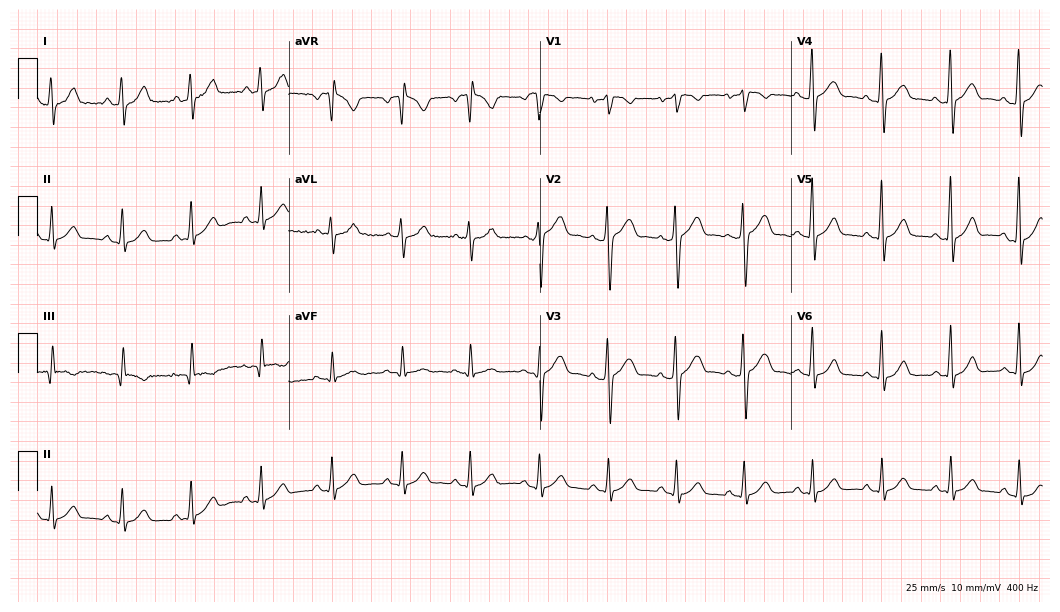
12-lead ECG from a male patient, 32 years old. Labelled as a normal ECG.